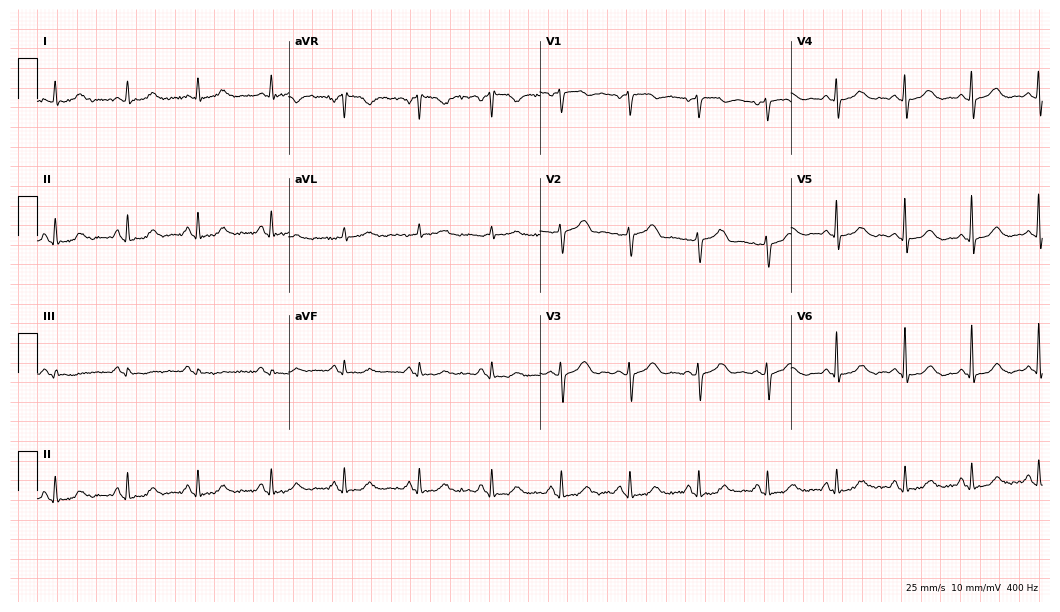
Electrocardiogram (10.2-second recording at 400 Hz), a 59-year-old woman. Overall reading on record: normal ECG.